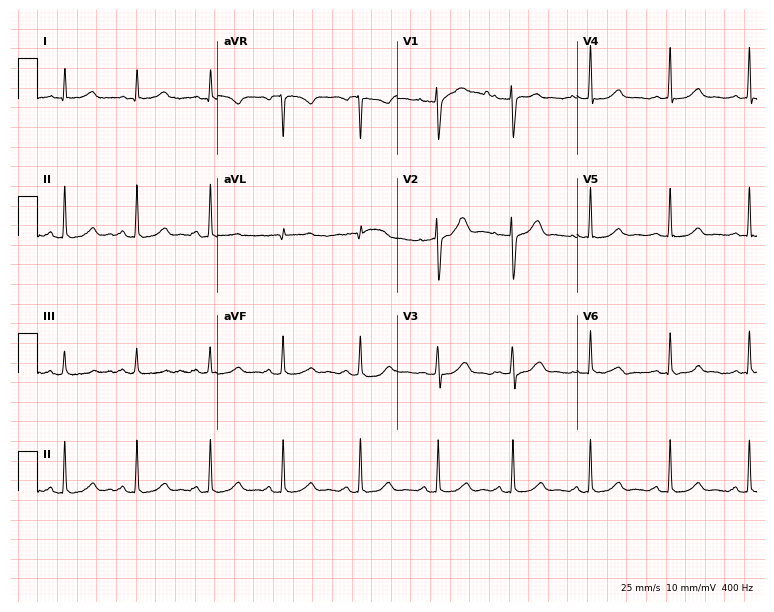
Standard 12-lead ECG recorded from a 38-year-old woman. Read as a normal ECG.